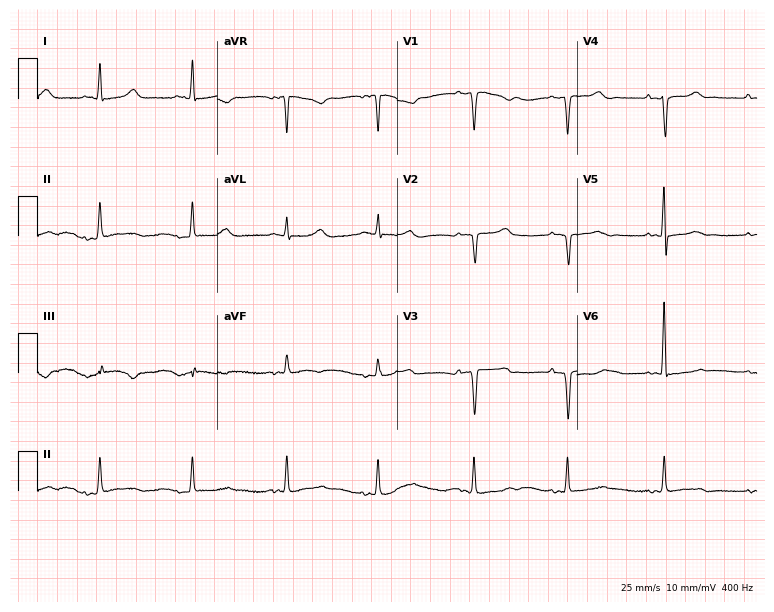
Standard 12-lead ECG recorded from a 69-year-old female (7.3-second recording at 400 Hz). None of these six findings is recorded: first-degree AV block, right bundle branch block, left bundle branch block, sinus bradycardia, atrial fibrillation, sinus tachycardia. Only these six findings were labelled.